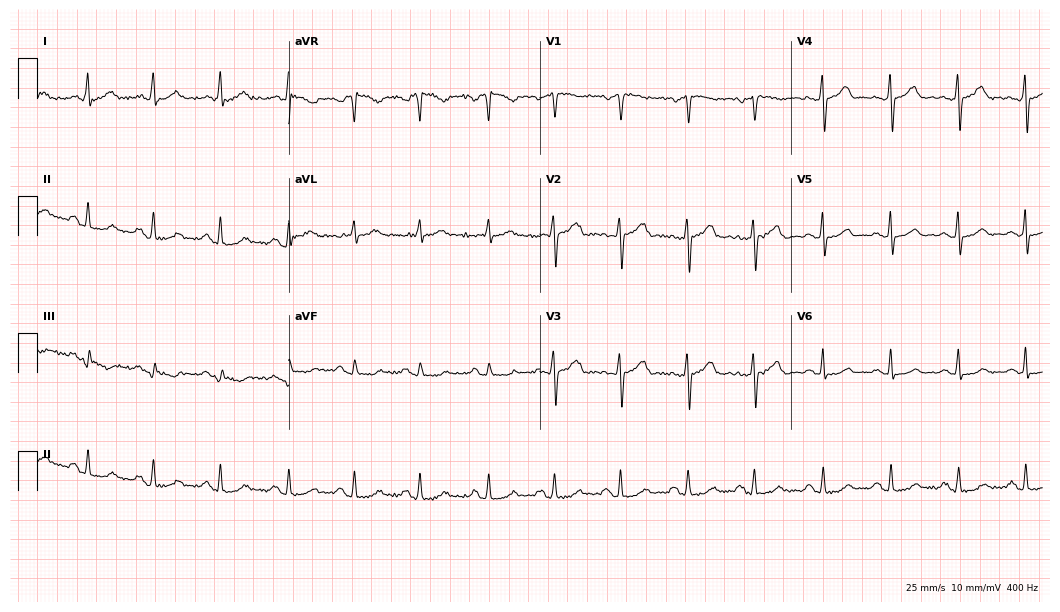
Standard 12-lead ECG recorded from a woman, 58 years old (10.2-second recording at 400 Hz). Read as a normal ECG.